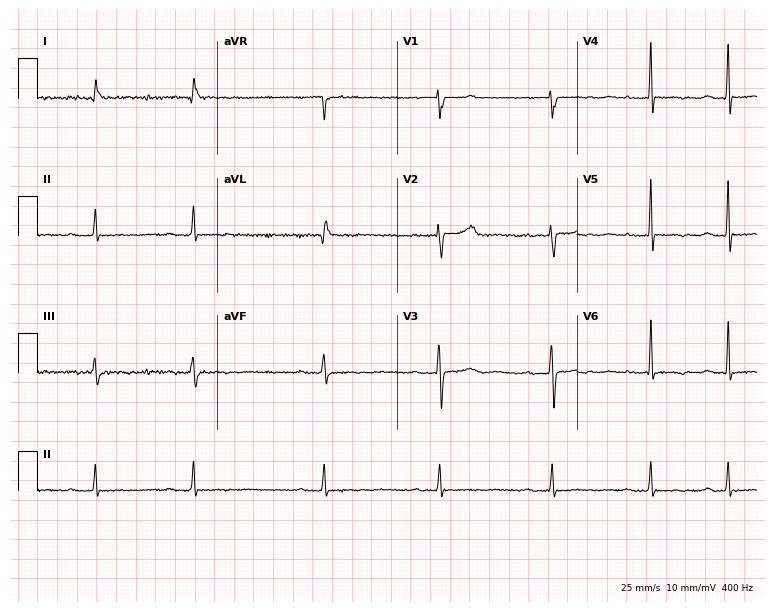
Electrocardiogram (7.3-second recording at 400 Hz), an 85-year-old male patient. Of the six screened findings (first-degree AV block, right bundle branch block (RBBB), left bundle branch block (LBBB), sinus bradycardia, atrial fibrillation (AF), sinus tachycardia), none is recorded. Findings outside these six are not listed.